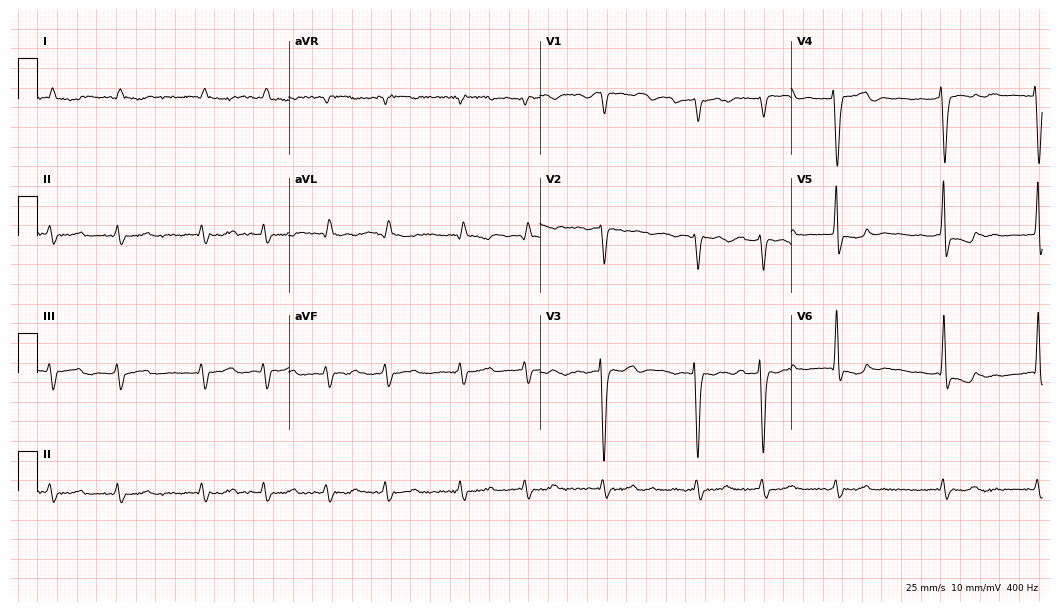
Standard 12-lead ECG recorded from a male, 74 years old. The tracing shows atrial fibrillation.